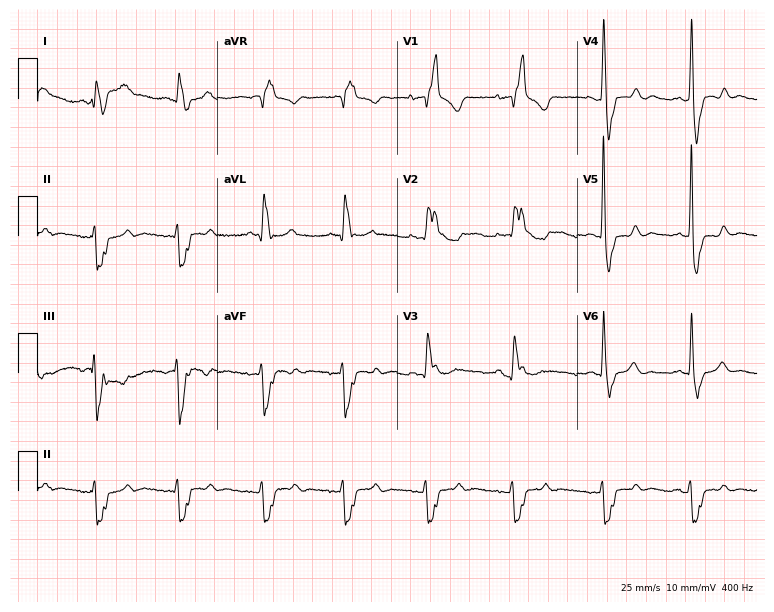
Resting 12-lead electrocardiogram. Patient: a 20-year-old woman. The tracing shows right bundle branch block.